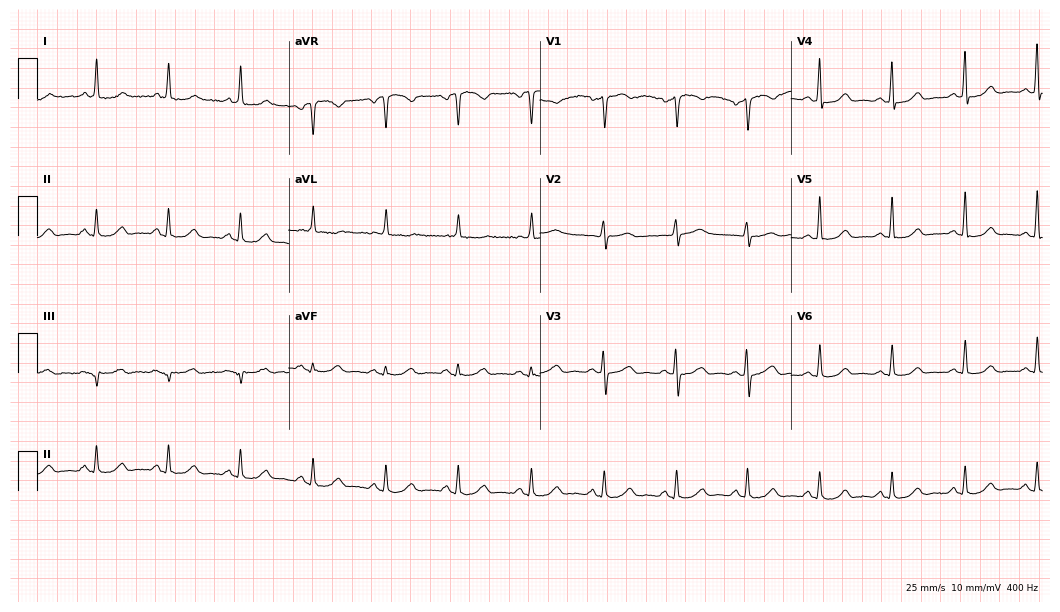
12-lead ECG (10.2-second recording at 400 Hz) from a 61-year-old female patient. Labelled as a normal ECG.